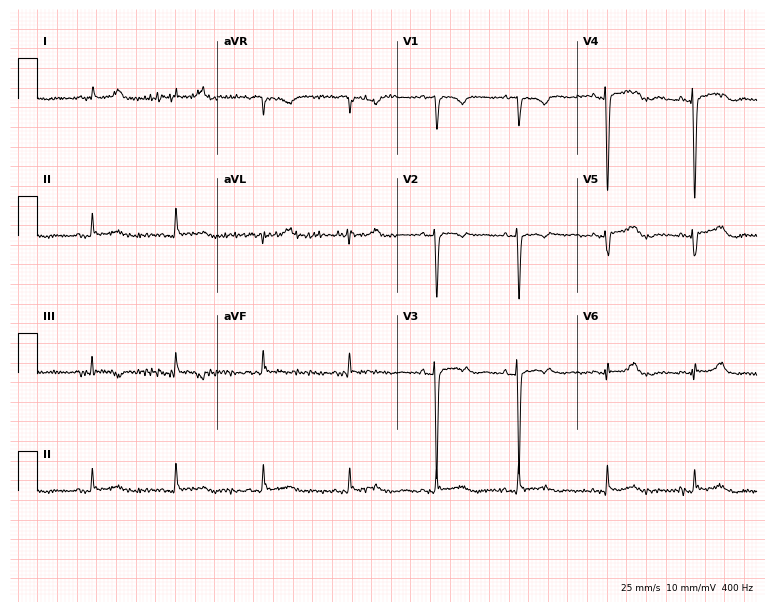
12-lead ECG from a 66-year-old woman. Screened for six findings — first-degree AV block, right bundle branch block, left bundle branch block, sinus bradycardia, atrial fibrillation, sinus tachycardia — none is recorded.